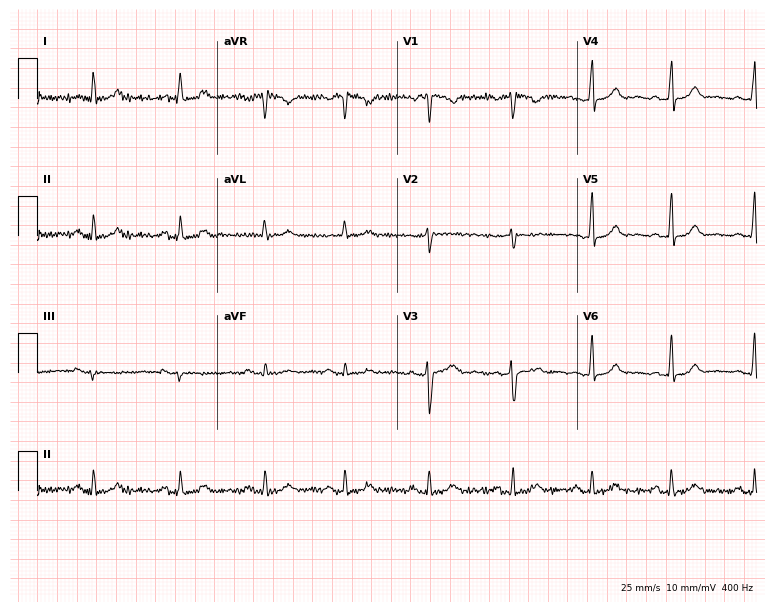
12-lead ECG from a 24-year-old female patient (7.3-second recording at 400 Hz). No first-degree AV block, right bundle branch block, left bundle branch block, sinus bradycardia, atrial fibrillation or sinus tachycardia recorded for this tracing.